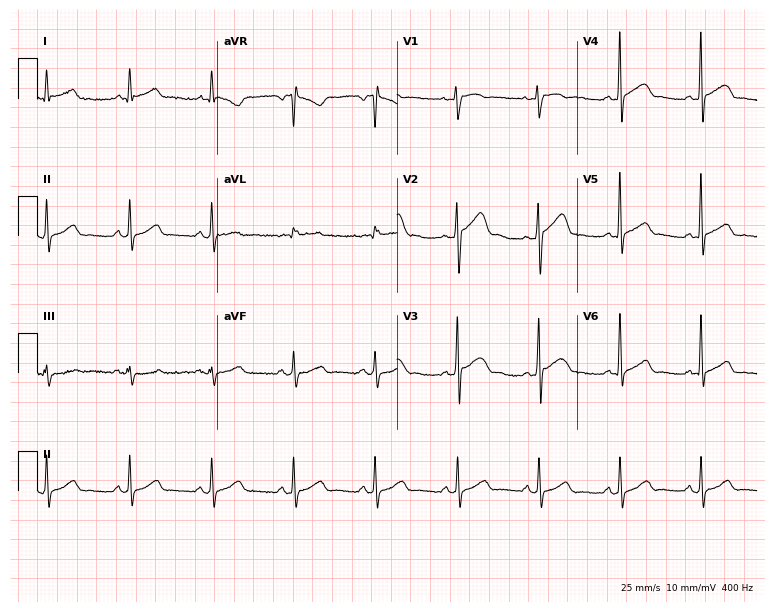
Electrocardiogram (7.3-second recording at 400 Hz), a 65-year-old male. Overall reading on record: normal ECG.